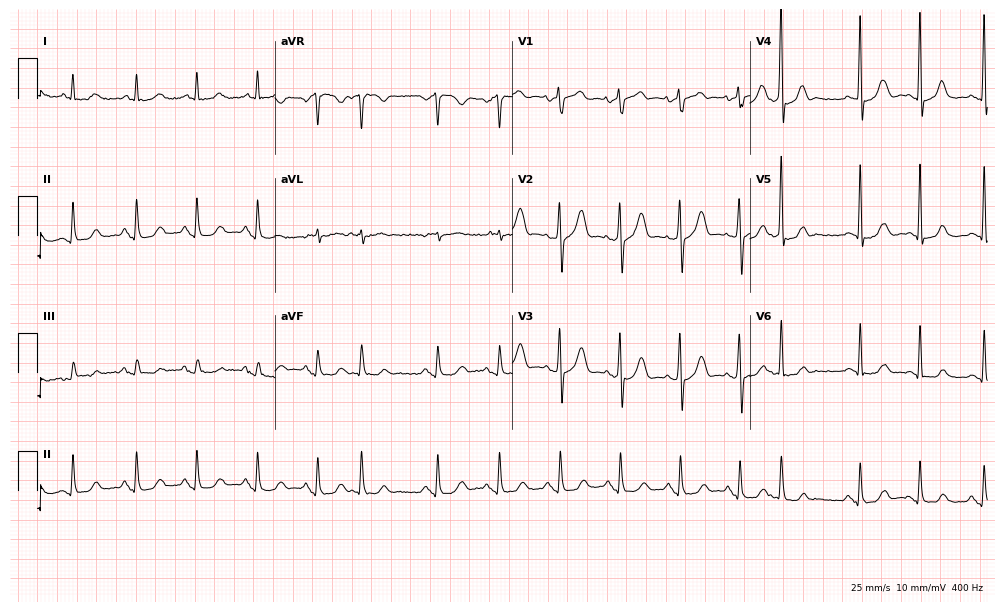
12-lead ECG (9.7-second recording at 400 Hz) from a male patient, 78 years old. Labelled as a normal ECG.